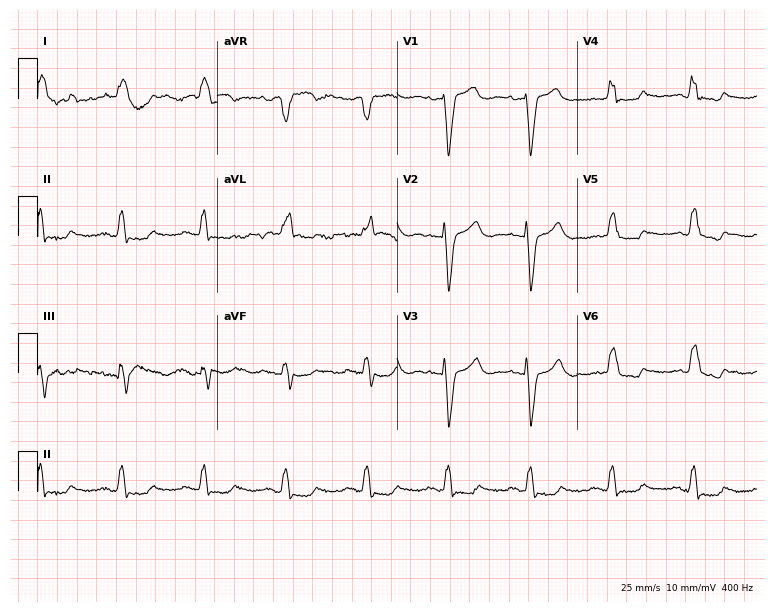
Resting 12-lead electrocardiogram. Patient: a 70-year-old female. None of these six findings is recorded: first-degree AV block, right bundle branch block, left bundle branch block, sinus bradycardia, atrial fibrillation, sinus tachycardia.